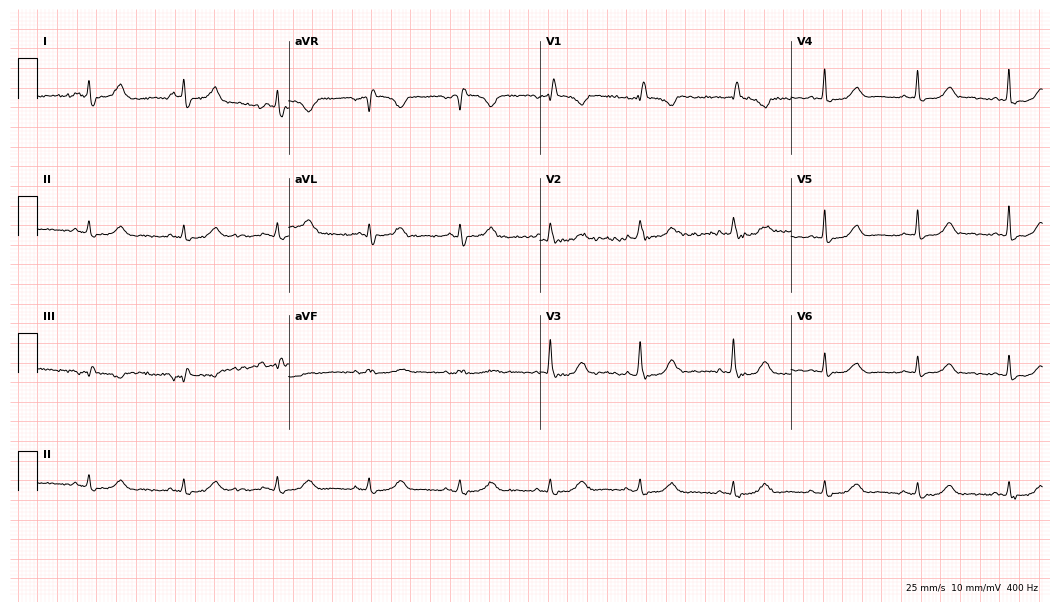
Standard 12-lead ECG recorded from a woman, 75 years old. The tracing shows right bundle branch block.